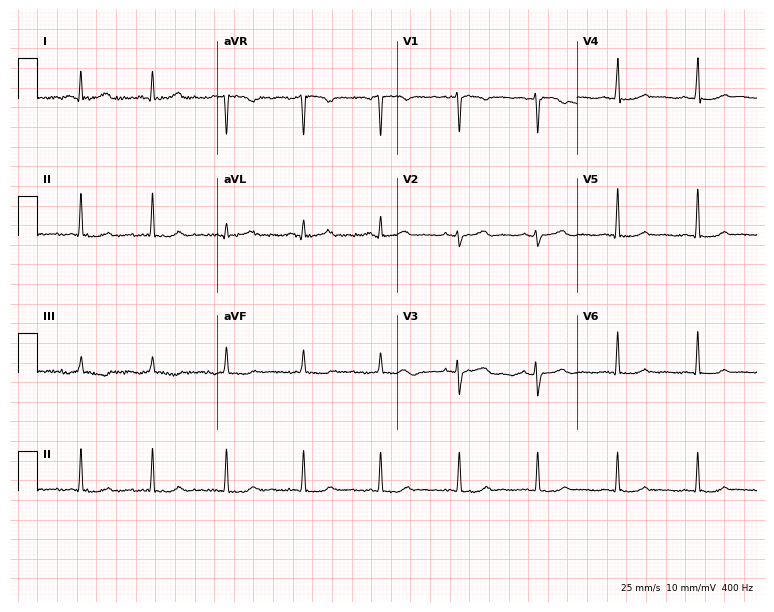
12-lead ECG from a female patient, 41 years old (7.3-second recording at 400 Hz). No first-degree AV block, right bundle branch block, left bundle branch block, sinus bradycardia, atrial fibrillation or sinus tachycardia recorded for this tracing. Other findings, if any, are not listed.